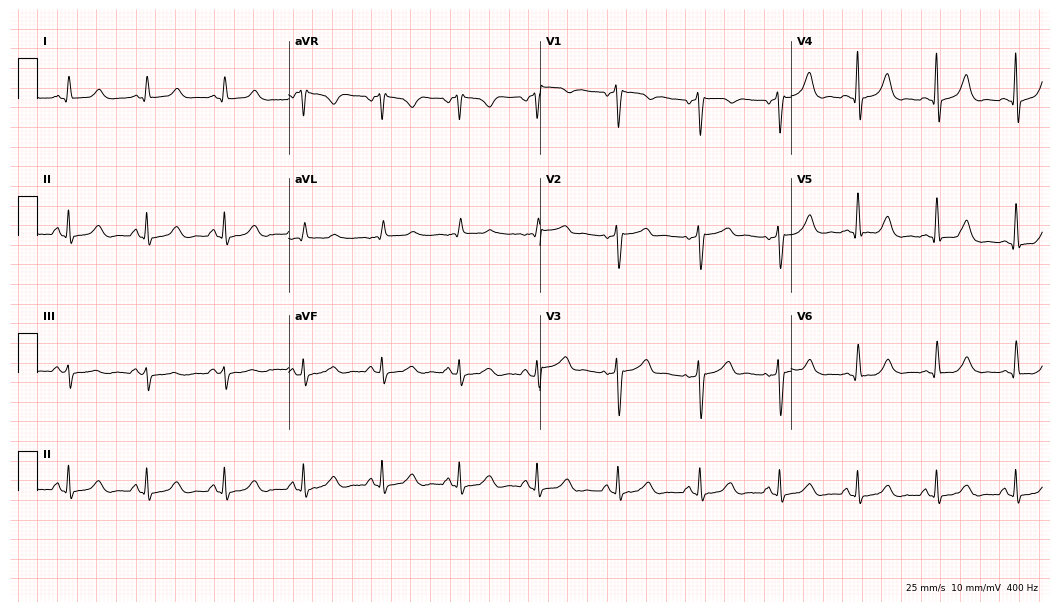
ECG — a male patient, 51 years old. Labelled as a normal ECG.